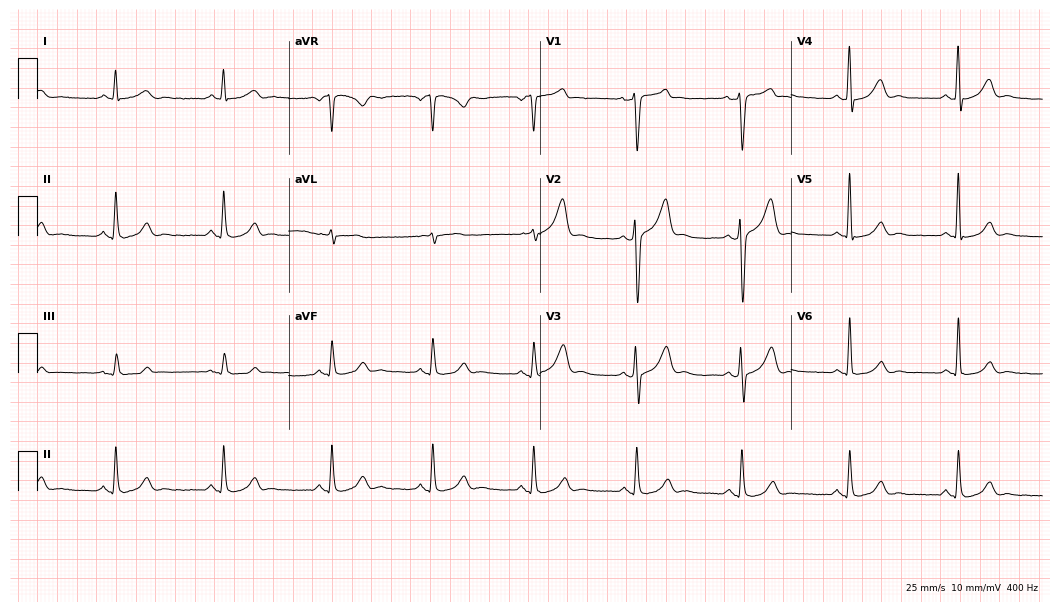
Resting 12-lead electrocardiogram (10.2-second recording at 400 Hz). Patient: a male, 49 years old. Read as a normal ECG.